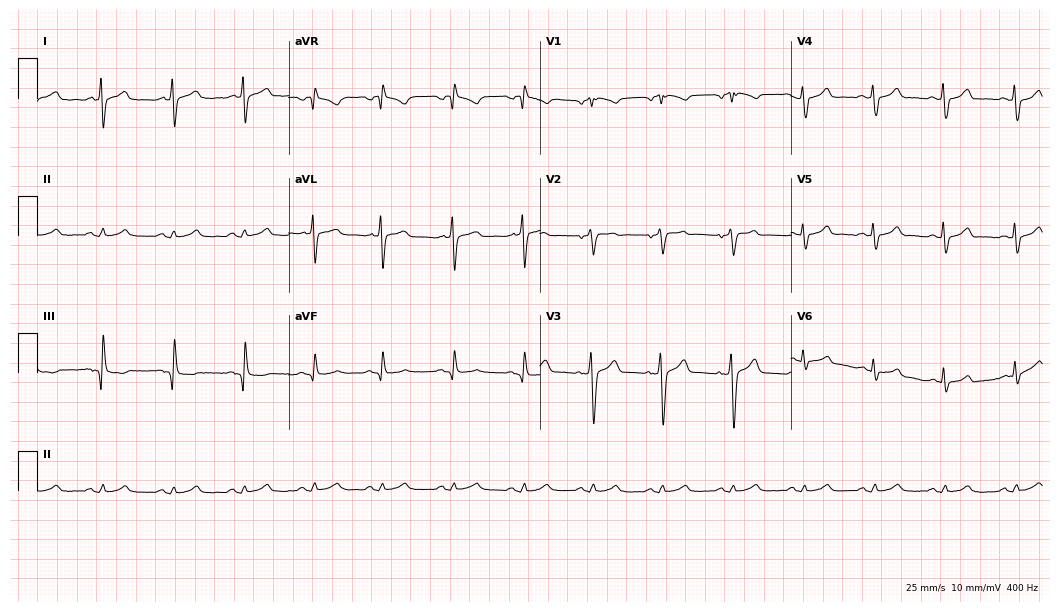
Standard 12-lead ECG recorded from a male patient, 42 years old. None of these six findings is recorded: first-degree AV block, right bundle branch block, left bundle branch block, sinus bradycardia, atrial fibrillation, sinus tachycardia.